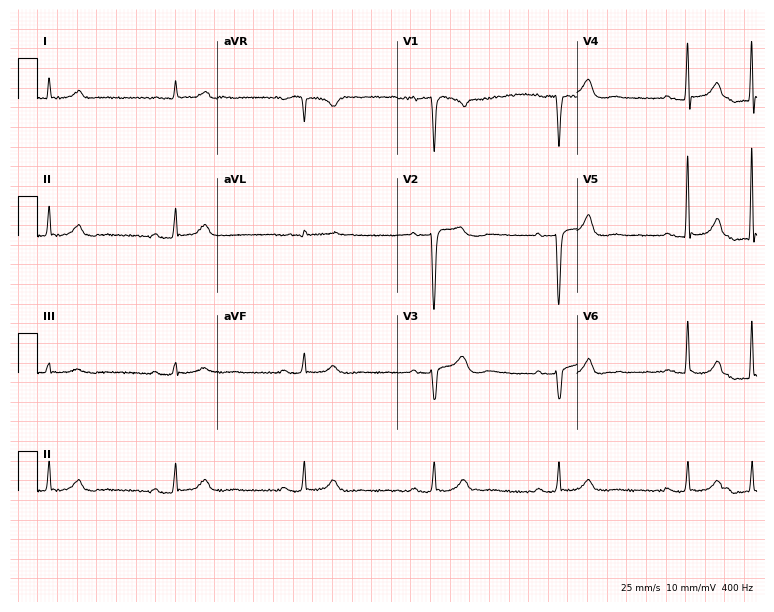
12-lead ECG (7.3-second recording at 400 Hz) from a male, 55 years old. Findings include sinus bradycardia (a sinus rate of 50 beats per minute or less).